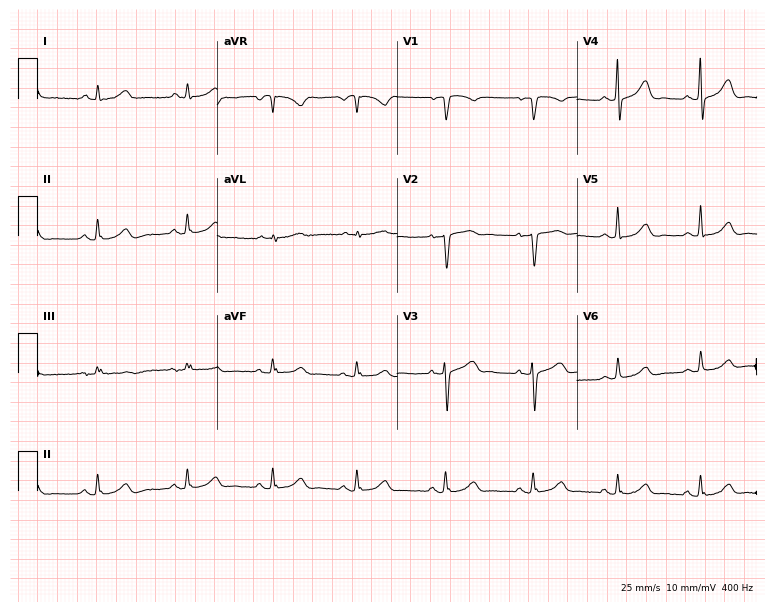
Electrocardiogram, a 60-year-old female patient. Of the six screened findings (first-degree AV block, right bundle branch block, left bundle branch block, sinus bradycardia, atrial fibrillation, sinus tachycardia), none is recorded. Only these six findings were labelled.